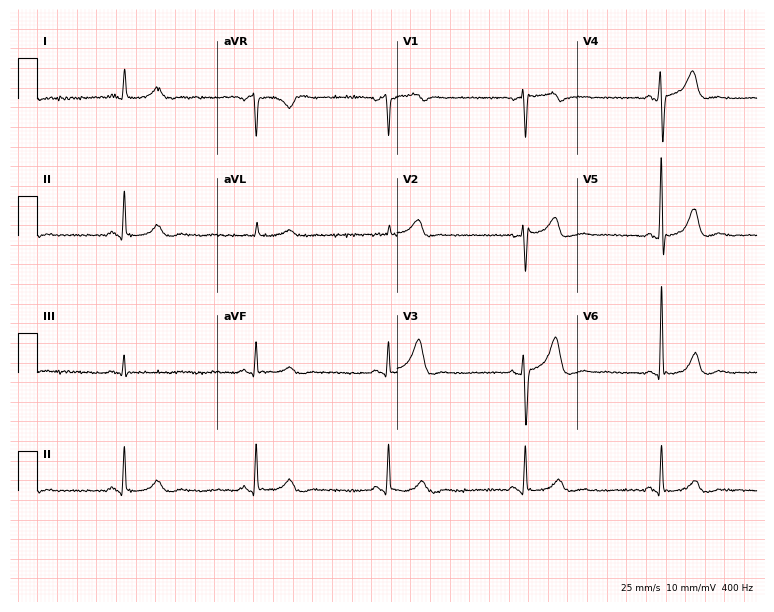
12-lead ECG from a 67-year-old male patient (7.3-second recording at 400 Hz). Shows sinus bradycardia (a sinus rate of 50 beats per minute or less).